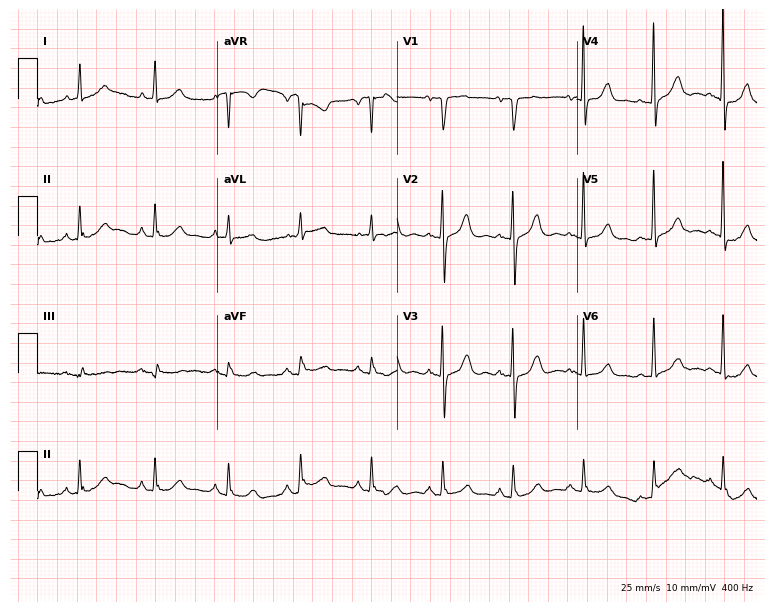
Electrocardiogram, a 71-year-old female. Of the six screened findings (first-degree AV block, right bundle branch block, left bundle branch block, sinus bradycardia, atrial fibrillation, sinus tachycardia), none is recorded.